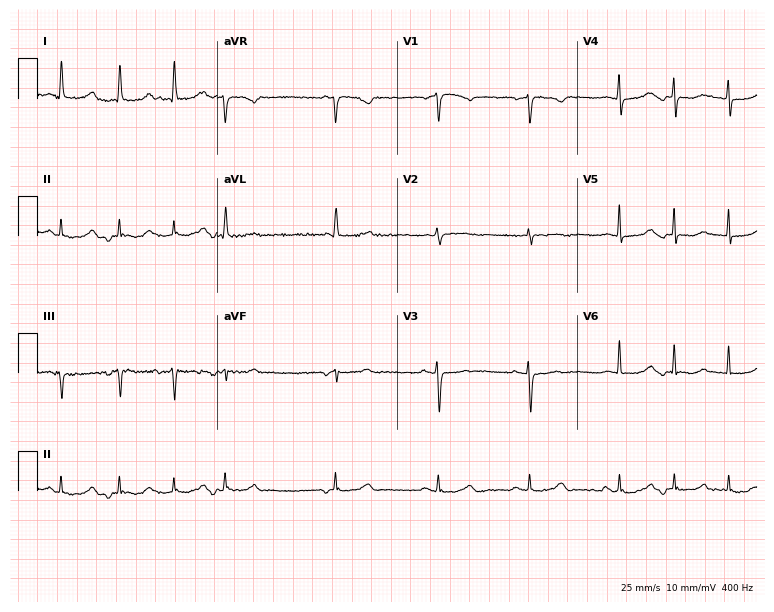
Electrocardiogram (7.3-second recording at 400 Hz), a female, 76 years old. Overall reading on record: normal ECG.